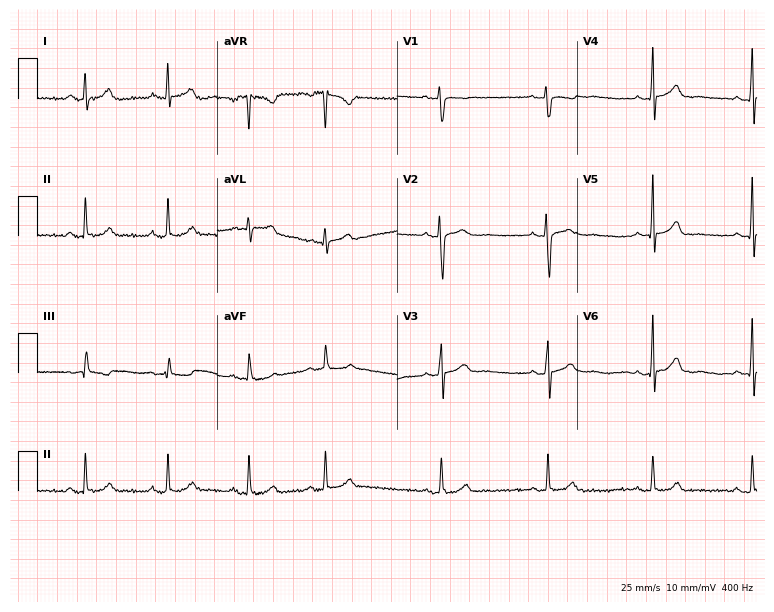
Standard 12-lead ECG recorded from a 23-year-old female. Read as a normal ECG.